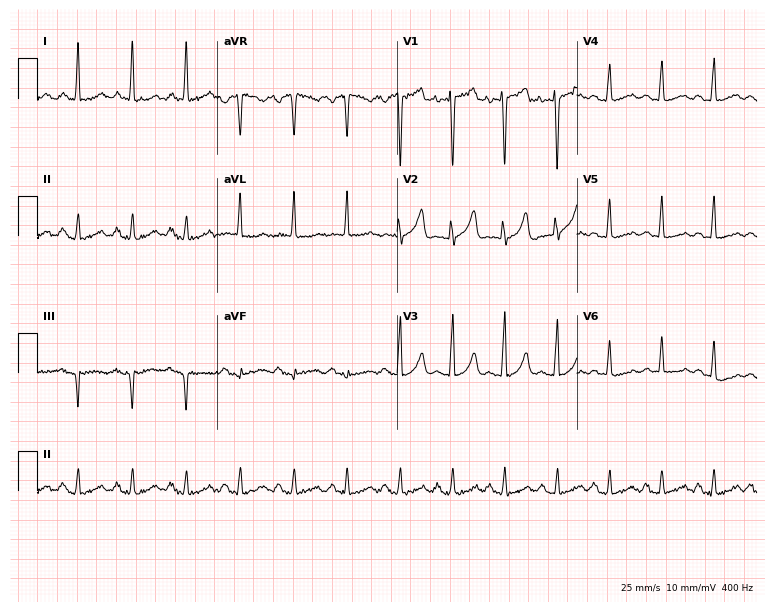
12-lead ECG from a woman, 62 years old. Findings include sinus tachycardia (a sinus rate of 100 beats per minute or more).